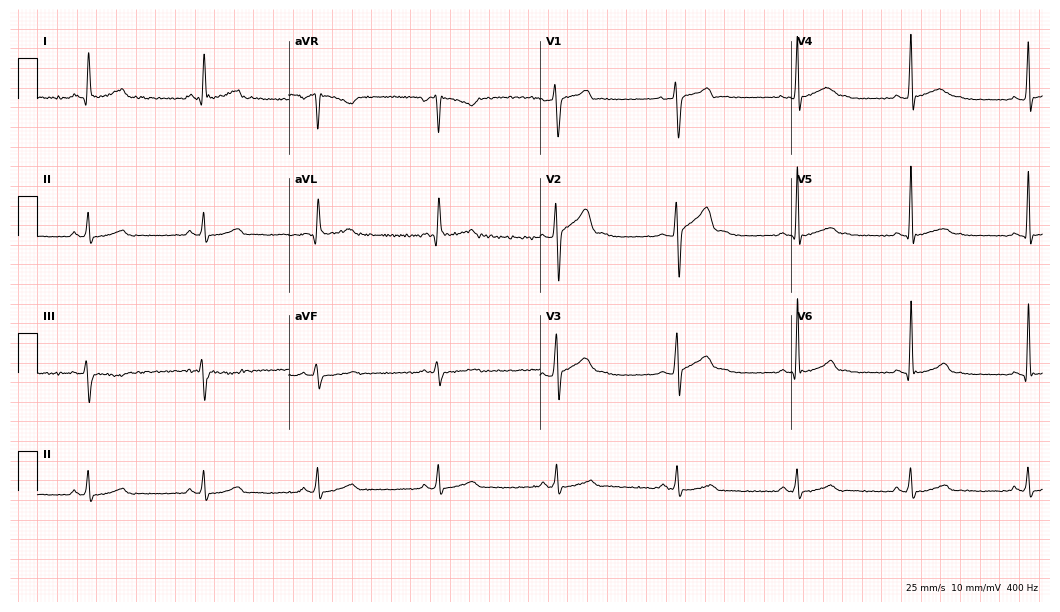
Electrocardiogram (10.2-second recording at 400 Hz), a 39-year-old man. Overall reading on record: normal ECG.